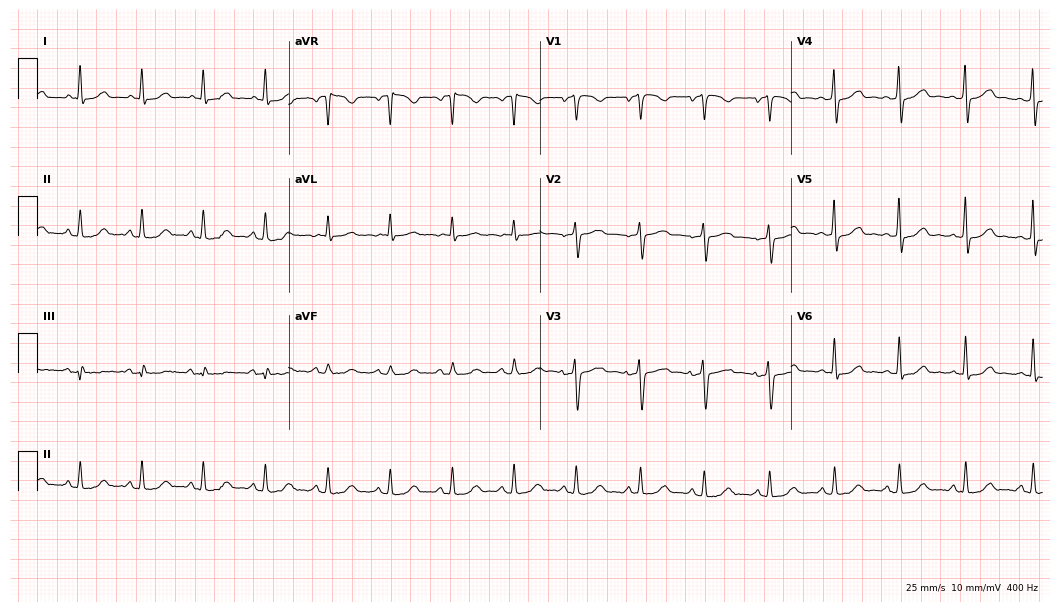
Electrocardiogram (10.2-second recording at 400 Hz), a 45-year-old woman. Overall reading on record: normal ECG.